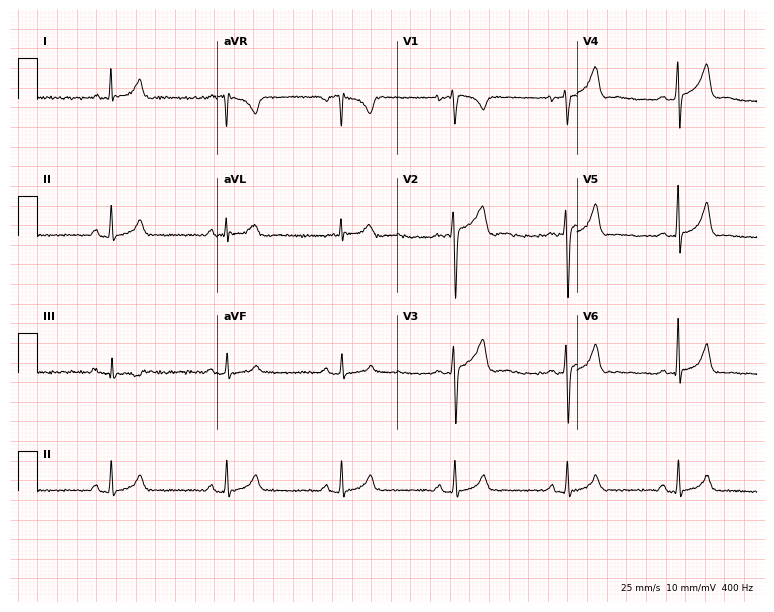
Standard 12-lead ECG recorded from a 32-year-old male (7.3-second recording at 400 Hz). Read as a normal ECG.